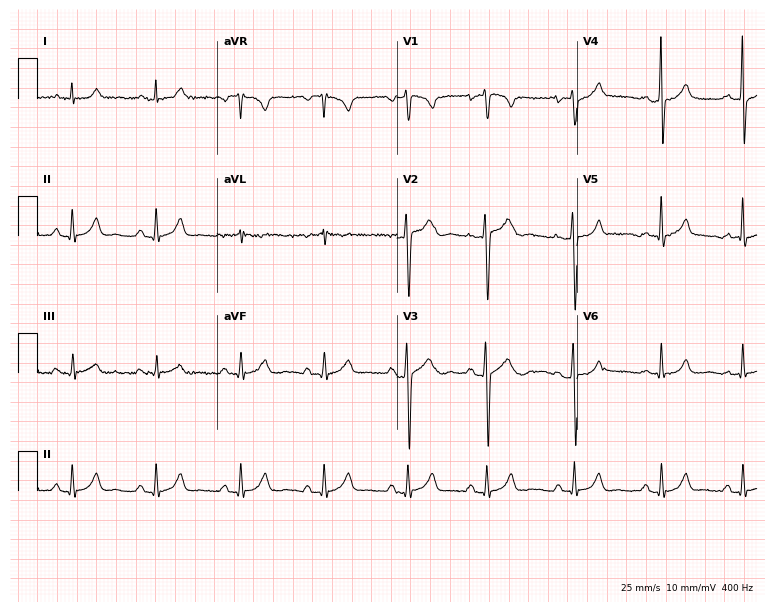
12-lead ECG from a 27-year-old man. Screened for six findings — first-degree AV block, right bundle branch block, left bundle branch block, sinus bradycardia, atrial fibrillation, sinus tachycardia — none is recorded.